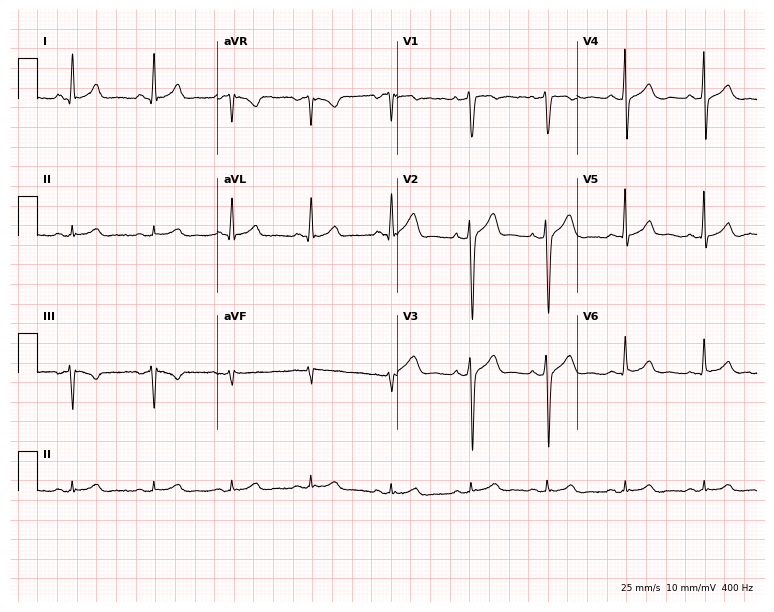
ECG (7.3-second recording at 400 Hz) — a male patient, 30 years old. Labelled as a normal ECG.